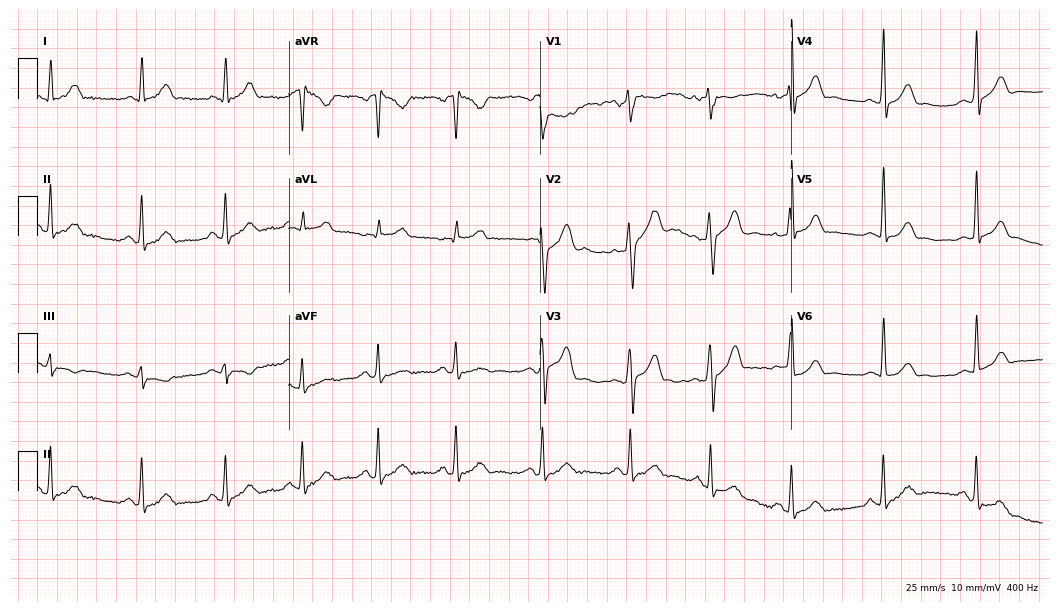
Electrocardiogram (10.2-second recording at 400 Hz), a 33-year-old male patient. Of the six screened findings (first-degree AV block, right bundle branch block (RBBB), left bundle branch block (LBBB), sinus bradycardia, atrial fibrillation (AF), sinus tachycardia), none is recorded. Findings outside these six are not listed.